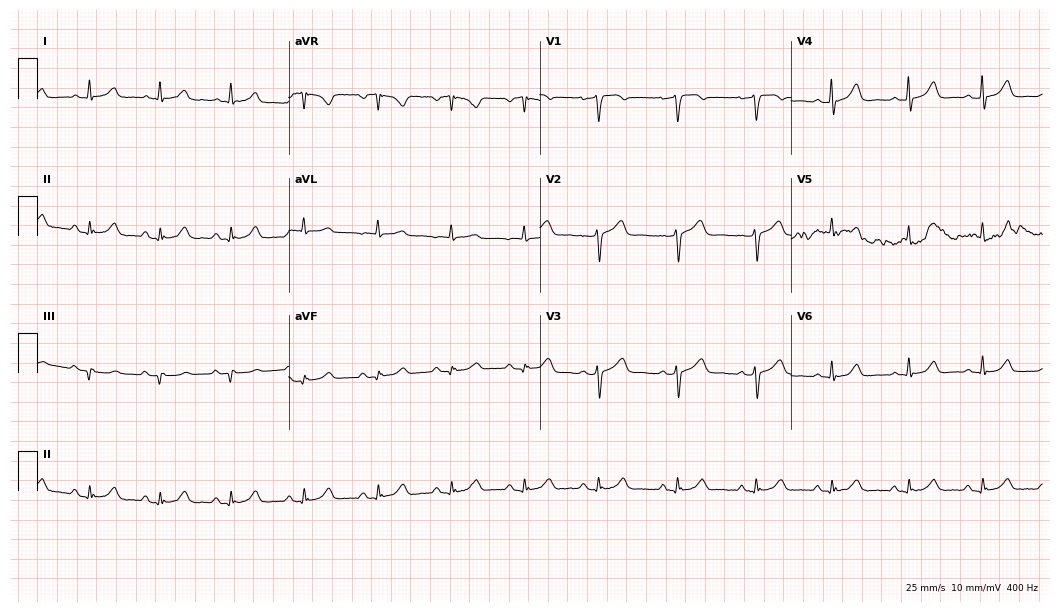
Electrocardiogram (10.2-second recording at 400 Hz), a 50-year-old female. Of the six screened findings (first-degree AV block, right bundle branch block, left bundle branch block, sinus bradycardia, atrial fibrillation, sinus tachycardia), none is recorded.